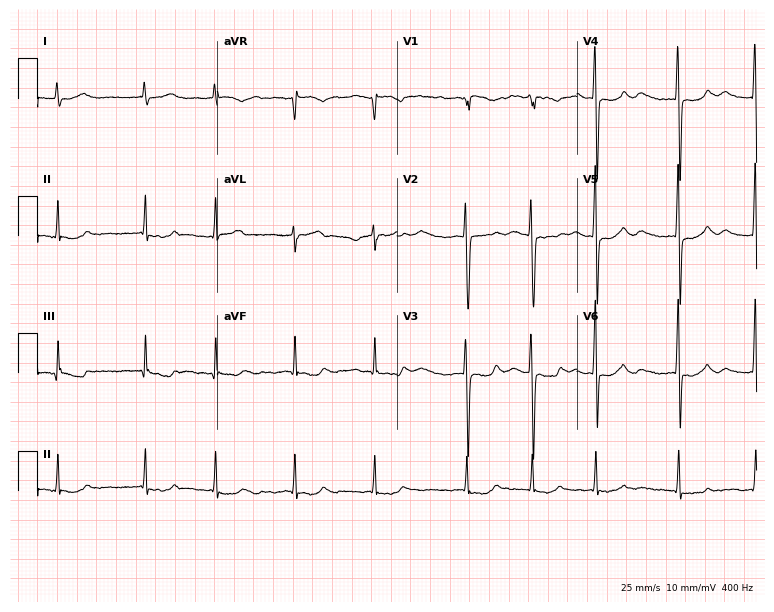
12-lead ECG (7.3-second recording at 400 Hz) from a 48-year-old female patient. Findings include atrial fibrillation.